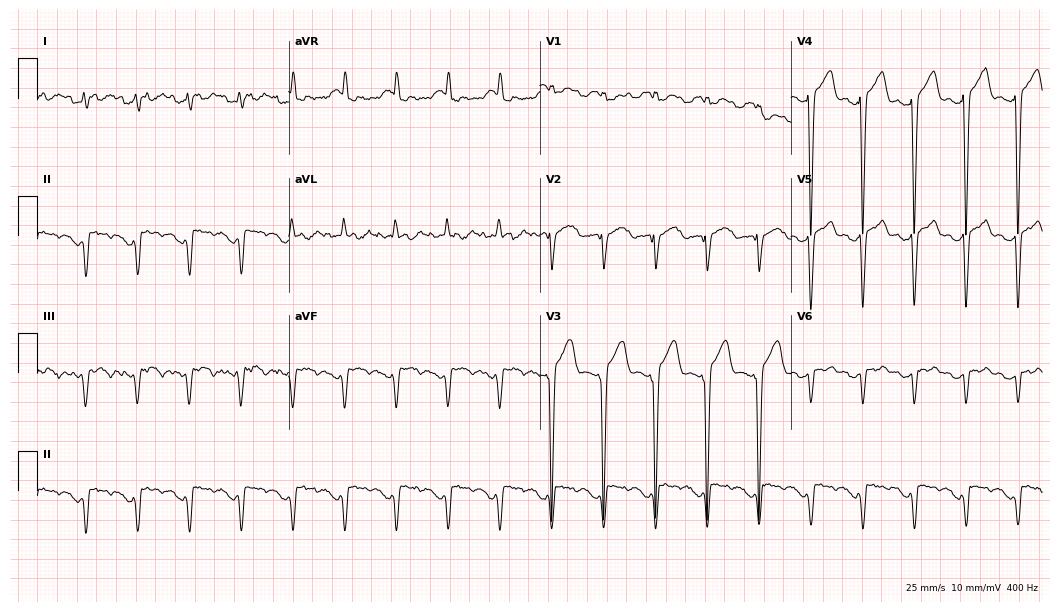
ECG — a 52-year-old male patient. Screened for six findings — first-degree AV block, right bundle branch block (RBBB), left bundle branch block (LBBB), sinus bradycardia, atrial fibrillation (AF), sinus tachycardia — none is recorded.